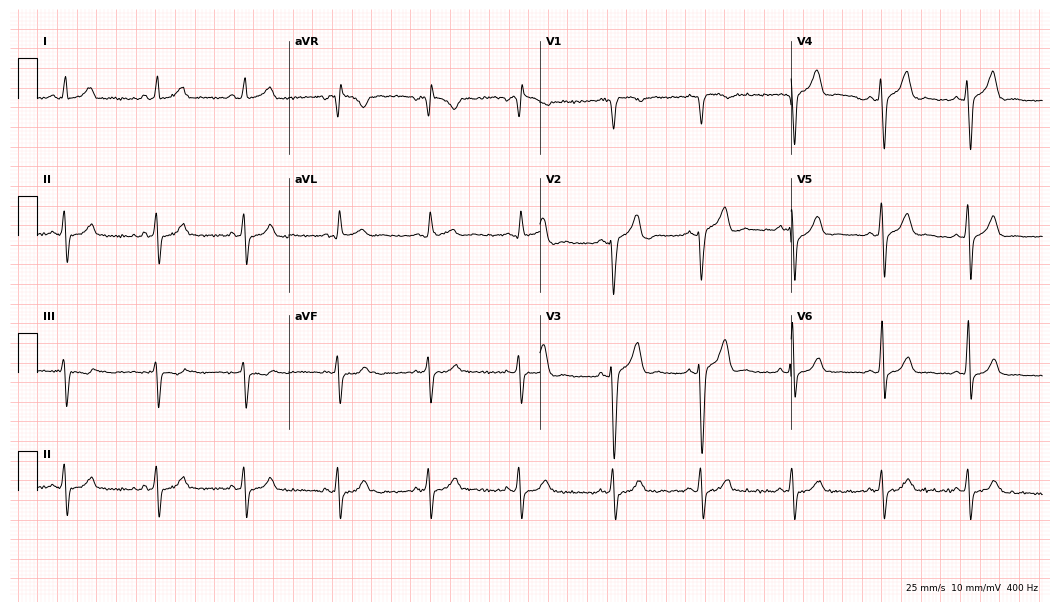
12-lead ECG from a 41-year-old male patient. No first-degree AV block, right bundle branch block (RBBB), left bundle branch block (LBBB), sinus bradycardia, atrial fibrillation (AF) or sinus tachycardia recorded for this tracing.